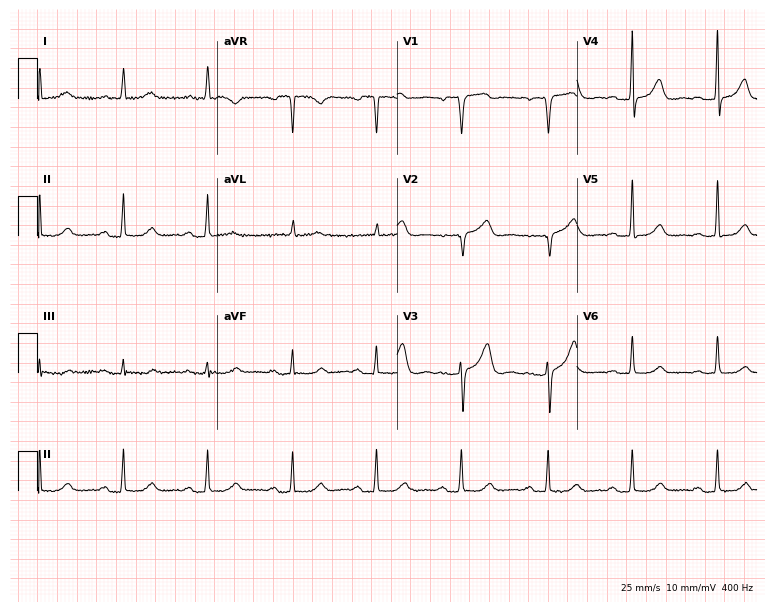
Resting 12-lead electrocardiogram (7.3-second recording at 400 Hz). Patient: a 68-year-old woman. None of these six findings is recorded: first-degree AV block, right bundle branch block, left bundle branch block, sinus bradycardia, atrial fibrillation, sinus tachycardia.